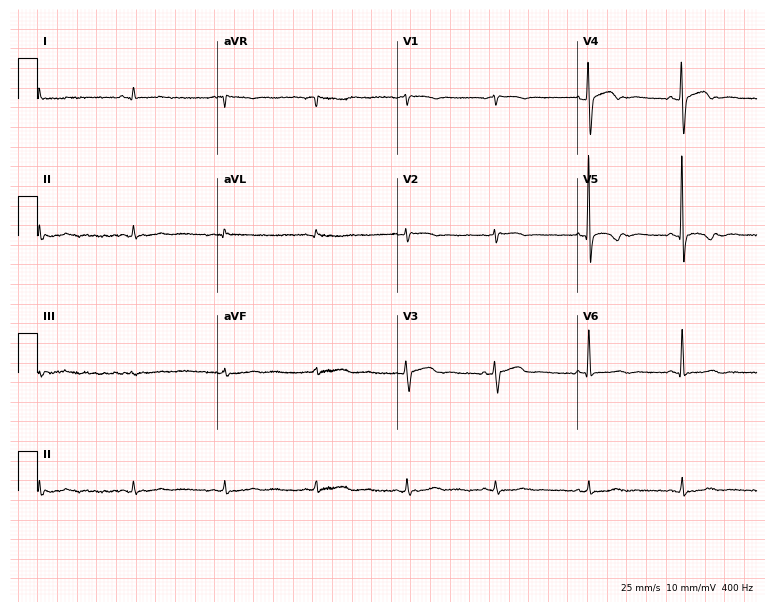
Electrocardiogram (7.3-second recording at 400 Hz), a female, 59 years old. Overall reading on record: normal ECG.